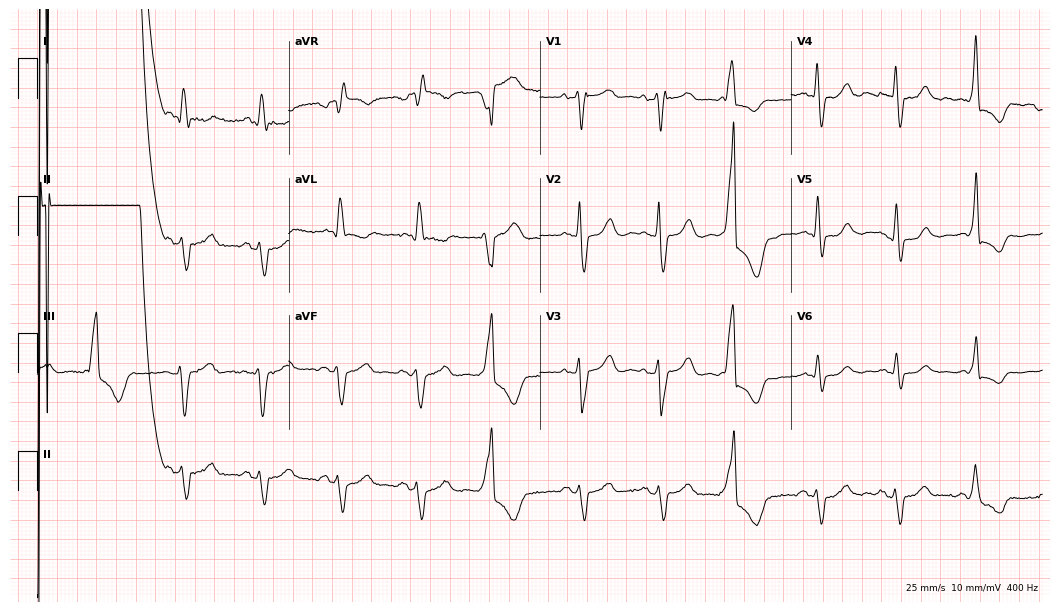
Electrocardiogram (10.2-second recording at 400 Hz), an 84-year-old male. Of the six screened findings (first-degree AV block, right bundle branch block (RBBB), left bundle branch block (LBBB), sinus bradycardia, atrial fibrillation (AF), sinus tachycardia), none is recorded.